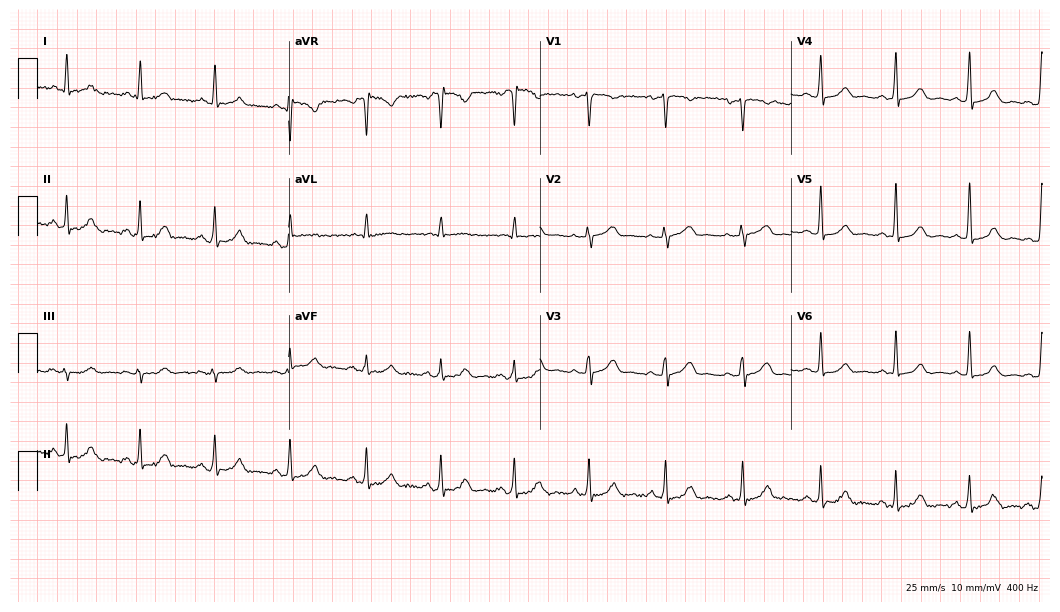
12-lead ECG from a female patient, 54 years old. Labelled as a normal ECG.